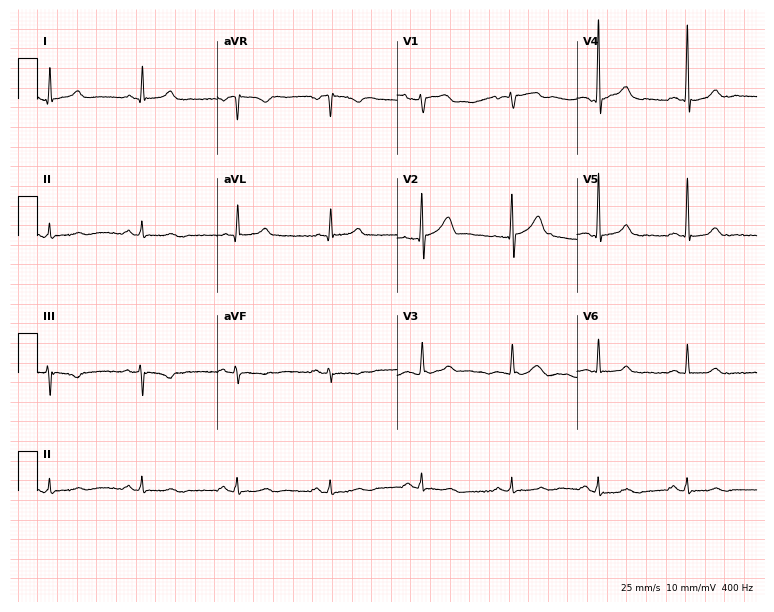
ECG (7.3-second recording at 400 Hz) — a male, 59 years old. Labelled as a normal ECG.